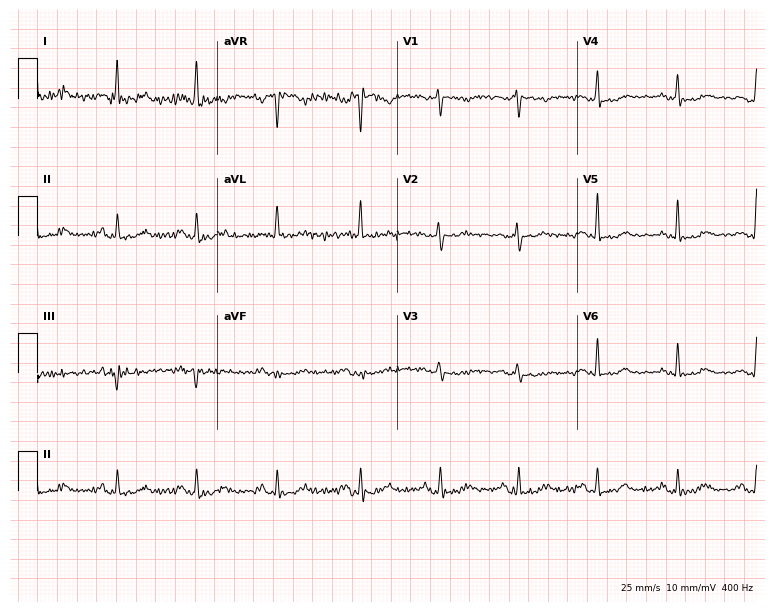
ECG (7.3-second recording at 400 Hz) — a female patient, 50 years old. Screened for six findings — first-degree AV block, right bundle branch block (RBBB), left bundle branch block (LBBB), sinus bradycardia, atrial fibrillation (AF), sinus tachycardia — none is recorded.